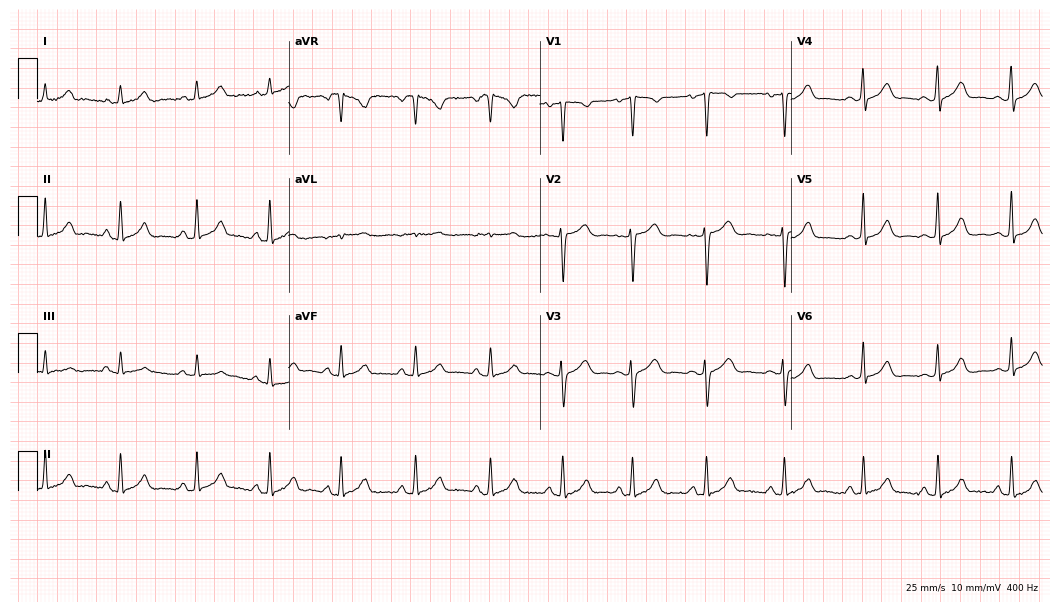
Standard 12-lead ECG recorded from a 30-year-old woman. Read as a normal ECG.